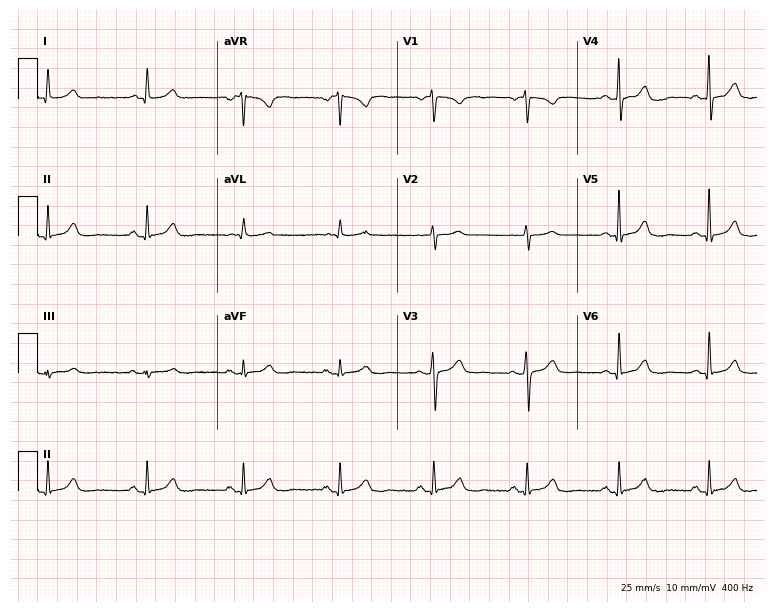
Standard 12-lead ECG recorded from a woman, 67 years old. None of these six findings is recorded: first-degree AV block, right bundle branch block, left bundle branch block, sinus bradycardia, atrial fibrillation, sinus tachycardia. Findings outside these six are not listed.